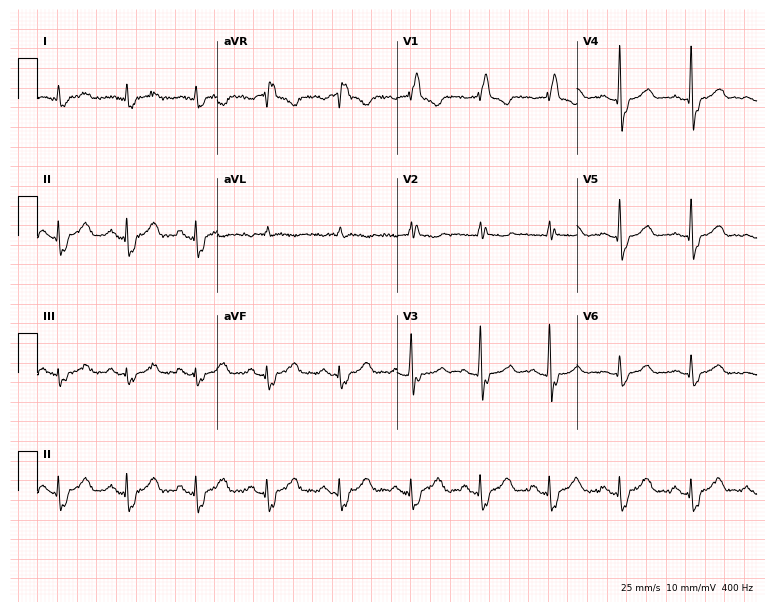
12-lead ECG (7.3-second recording at 400 Hz) from a 79-year-old male patient. Findings include right bundle branch block.